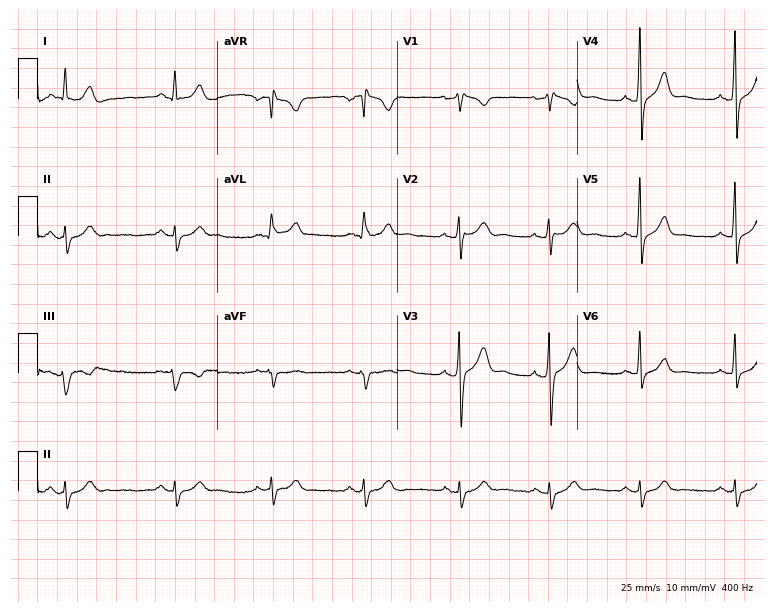
12-lead ECG (7.3-second recording at 400 Hz) from a male, 35 years old. Screened for six findings — first-degree AV block, right bundle branch block (RBBB), left bundle branch block (LBBB), sinus bradycardia, atrial fibrillation (AF), sinus tachycardia — none is recorded. Findings outside these six are not listed.